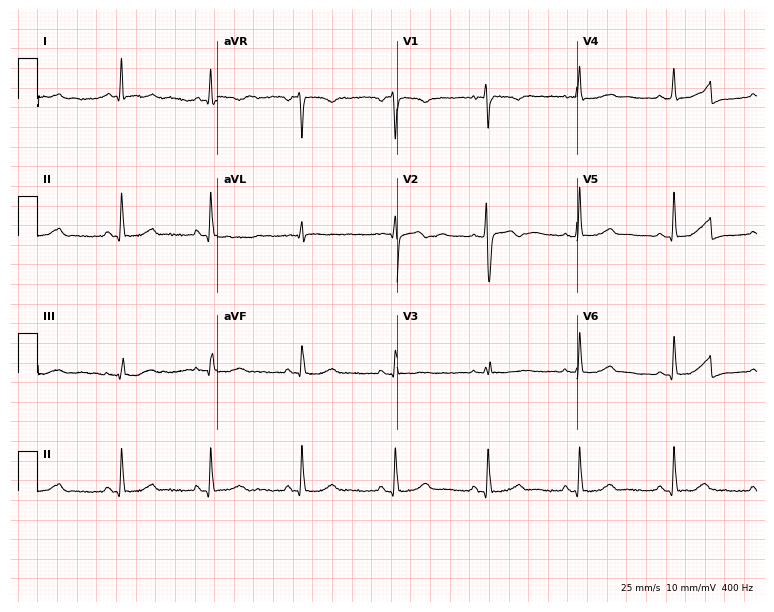
12-lead ECG from a 38-year-old woman. Labelled as a normal ECG.